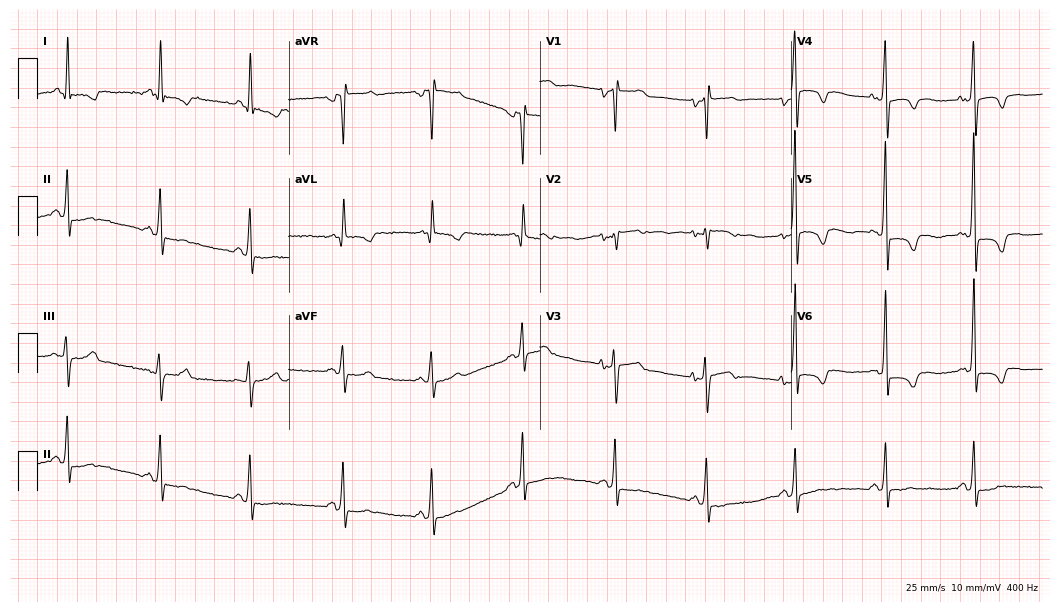
Resting 12-lead electrocardiogram. Patient: a 65-year-old female. None of these six findings is recorded: first-degree AV block, right bundle branch block, left bundle branch block, sinus bradycardia, atrial fibrillation, sinus tachycardia. Other findings, if any, are not listed.